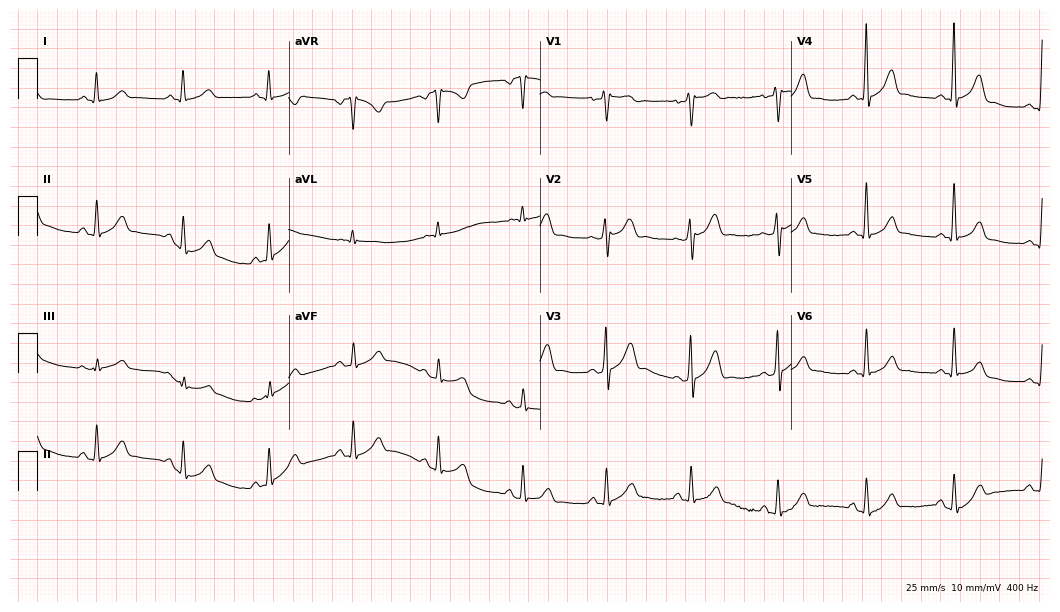
Standard 12-lead ECG recorded from a 48-year-old man (10.2-second recording at 400 Hz). Read as a normal ECG.